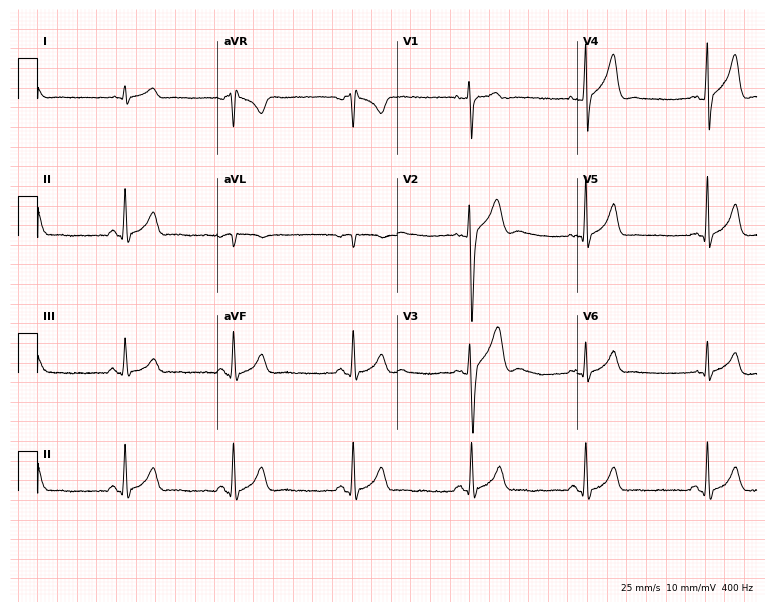
Electrocardiogram, a 23-year-old male. Of the six screened findings (first-degree AV block, right bundle branch block (RBBB), left bundle branch block (LBBB), sinus bradycardia, atrial fibrillation (AF), sinus tachycardia), none is recorded. Other findings, if any, are not listed.